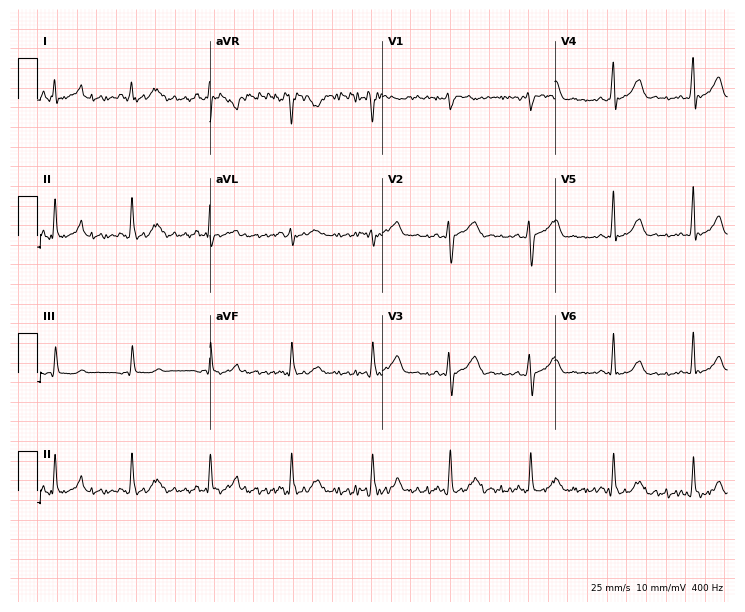
ECG (7-second recording at 400 Hz) — a woman, 44 years old. Labelled as a normal ECG.